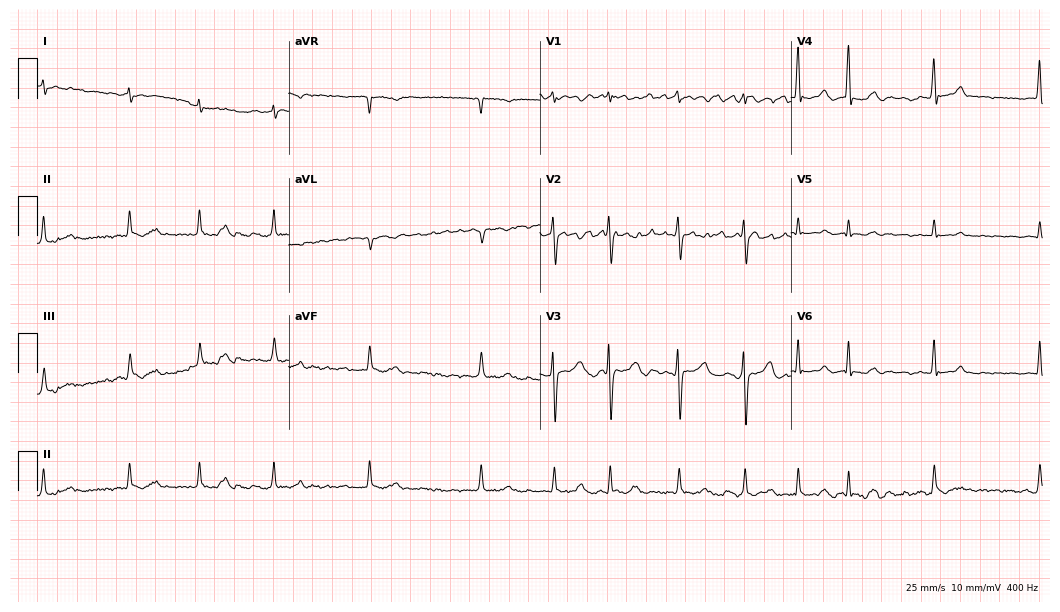
Electrocardiogram (10.2-second recording at 400 Hz), a female patient, 38 years old. Interpretation includes atrial fibrillation.